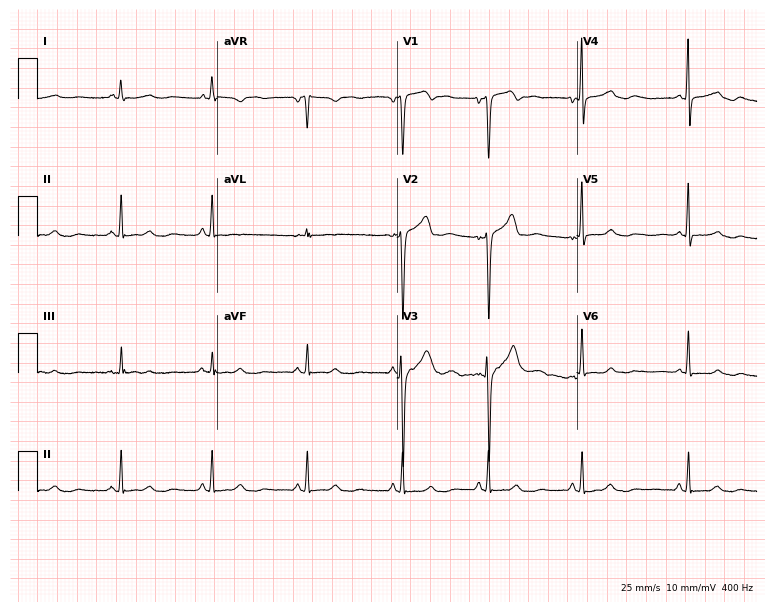
Standard 12-lead ECG recorded from a 42-year-old woman (7.3-second recording at 400 Hz). Read as a normal ECG.